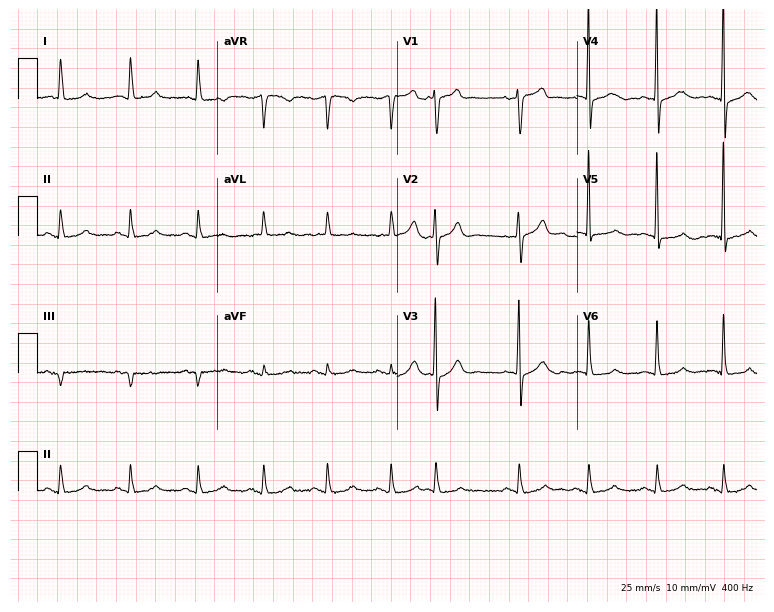
Resting 12-lead electrocardiogram (7.3-second recording at 400 Hz). Patient: a 61-year-old woman. None of these six findings is recorded: first-degree AV block, right bundle branch block, left bundle branch block, sinus bradycardia, atrial fibrillation, sinus tachycardia.